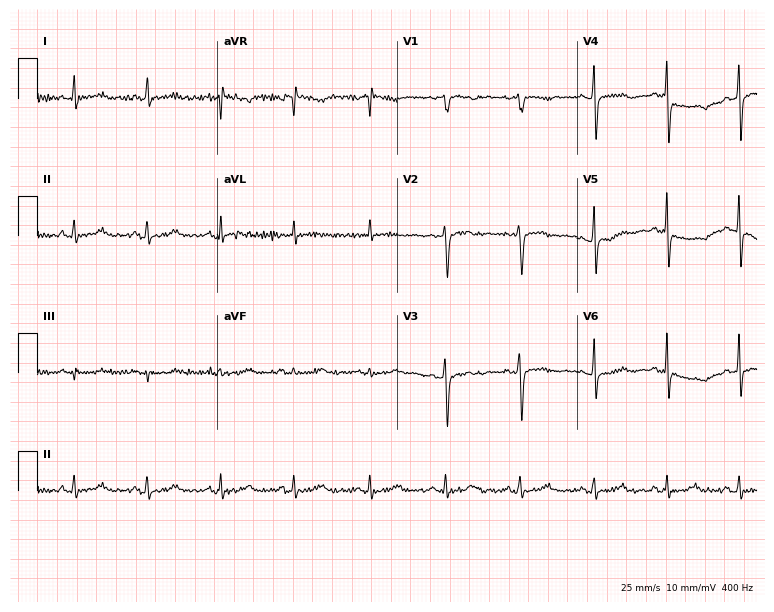
Standard 12-lead ECG recorded from a 56-year-old female patient (7.3-second recording at 400 Hz). None of these six findings is recorded: first-degree AV block, right bundle branch block (RBBB), left bundle branch block (LBBB), sinus bradycardia, atrial fibrillation (AF), sinus tachycardia.